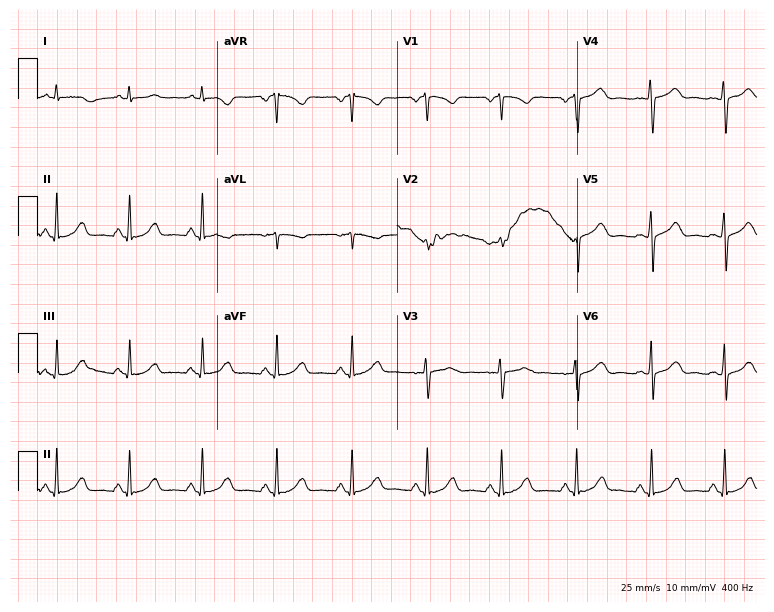
Resting 12-lead electrocardiogram (7.3-second recording at 400 Hz). Patient: a 33-year-old woman. None of these six findings is recorded: first-degree AV block, right bundle branch block (RBBB), left bundle branch block (LBBB), sinus bradycardia, atrial fibrillation (AF), sinus tachycardia.